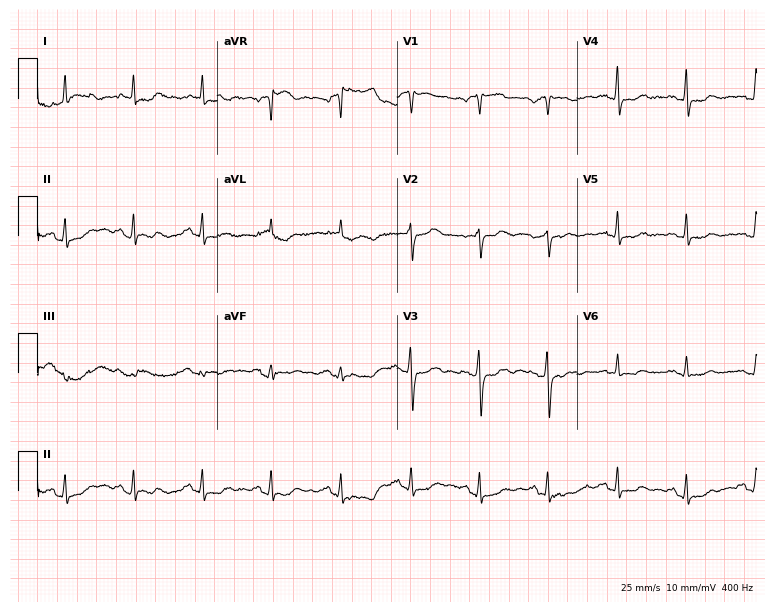
Standard 12-lead ECG recorded from a woman, 55 years old. Read as a normal ECG.